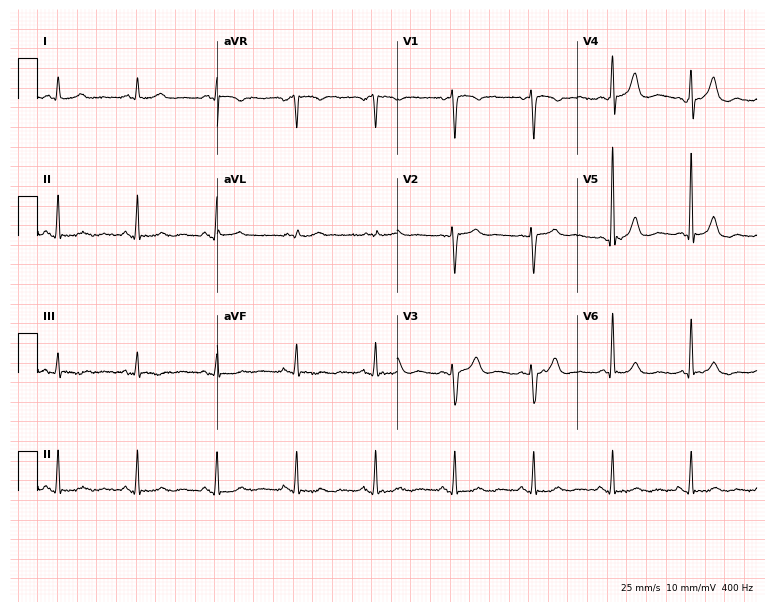
12-lead ECG from a 63-year-old male patient. No first-degree AV block, right bundle branch block, left bundle branch block, sinus bradycardia, atrial fibrillation or sinus tachycardia recorded for this tracing.